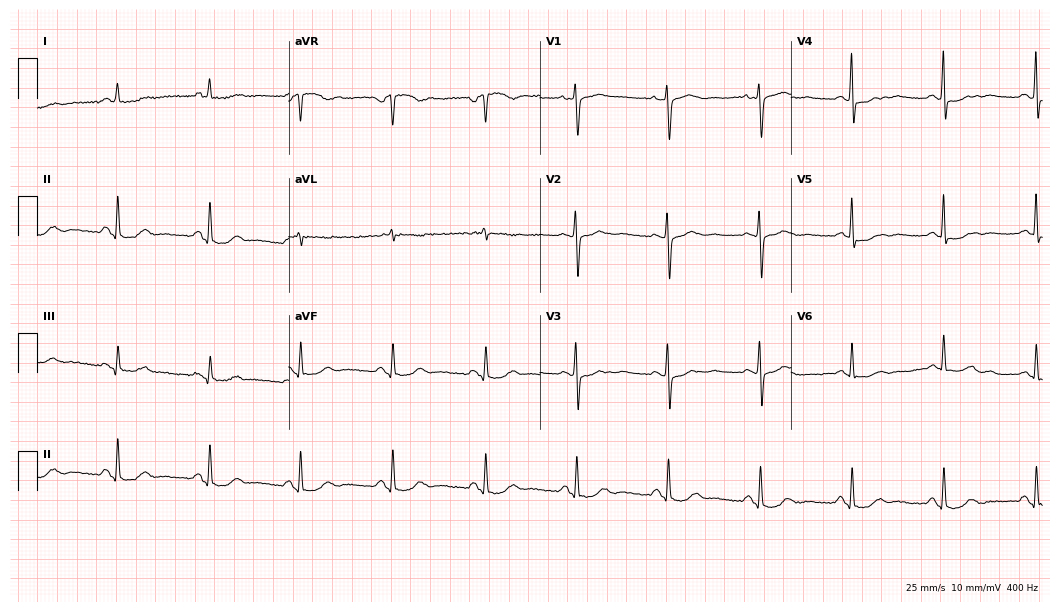
Standard 12-lead ECG recorded from a woman, 62 years old (10.2-second recording at 400 Hz). None of these six findings is recorded: first-degree AV block, right bundle branch block (RBBB), left bundle branch block (LBBB), sinus bradycardia, atrial fibrillation (AF), sinus tachycardia. Only these six findings were labelled.